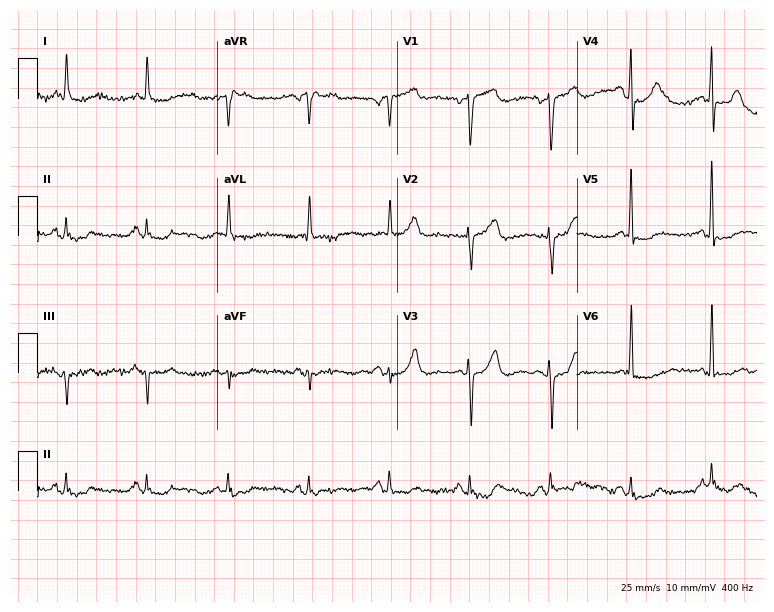
ECG (7.3-second recording at 400 Hz) — an 80-year-old male patient. Screened for six findings — first-degree AV block, right bundle branch block, left bundle branch block, sinus bradycardia, atrial fibrillation, sinus tachycardia — none is recorded. Other findings, if any, are not listed.